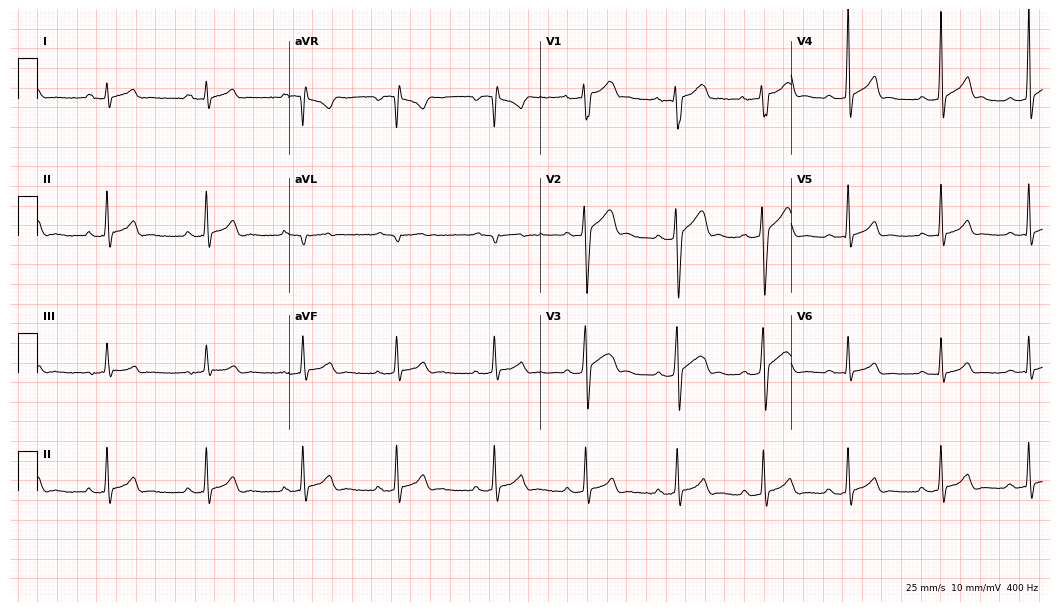
Standard 12-lead ECG recorded from a male, 17 years old (10.2-second recording at 400 Hz). Read as a normal ECG.